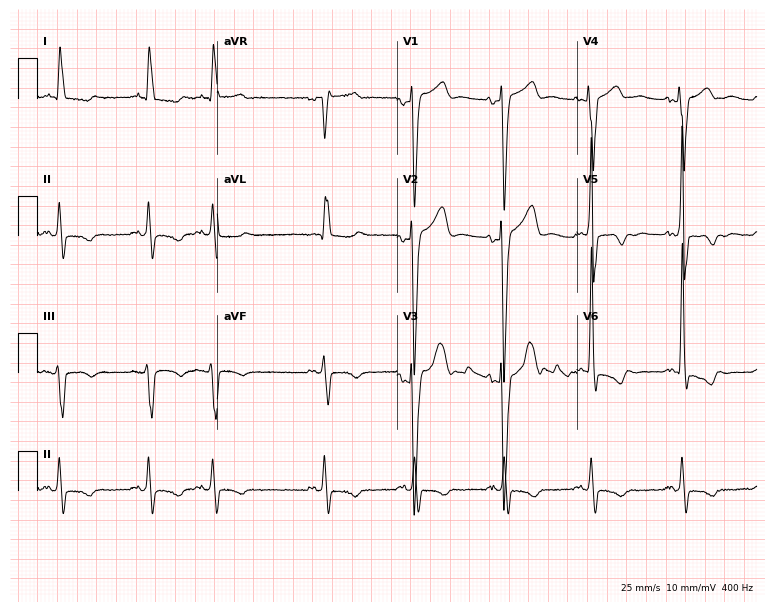
Resting 12-lead electrocardiogram (7.3-second recording at 400 Hz). Patient: an 83-year-old male. None of these six findings is recorded: first-degree AV block, right bundle branch block, left bundle branch block, sinus bradycardia, atrial fibrillation, sinus tachycardia.